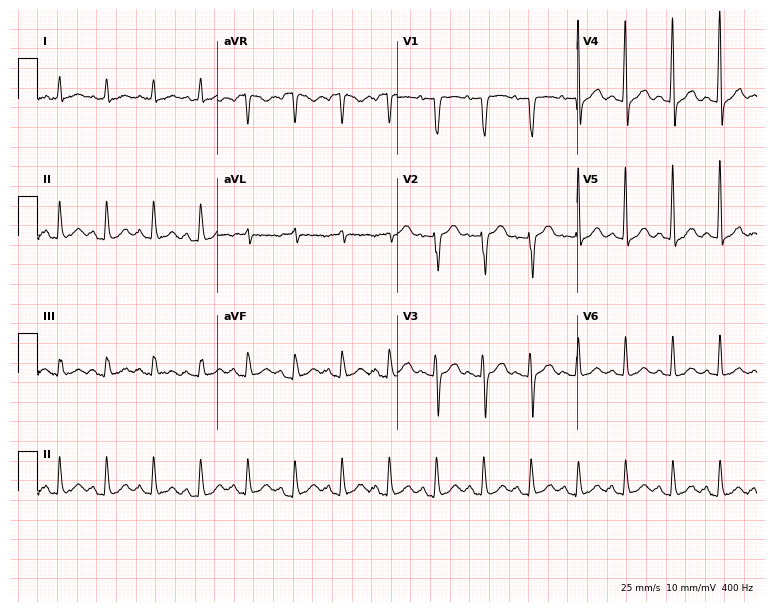
12-lead ECG (7.3-second recording at 400 Hz) from an 83-year-old female. Findings include sinus tachycardia (a sinus rate of 100 beats per minute or more).